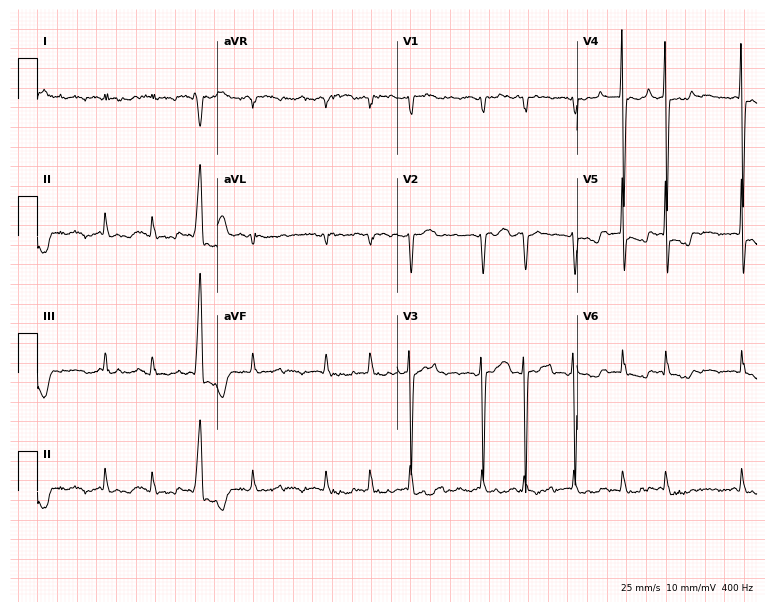
ECG — a female, 79 years old. Findings include atrial fibrillation.